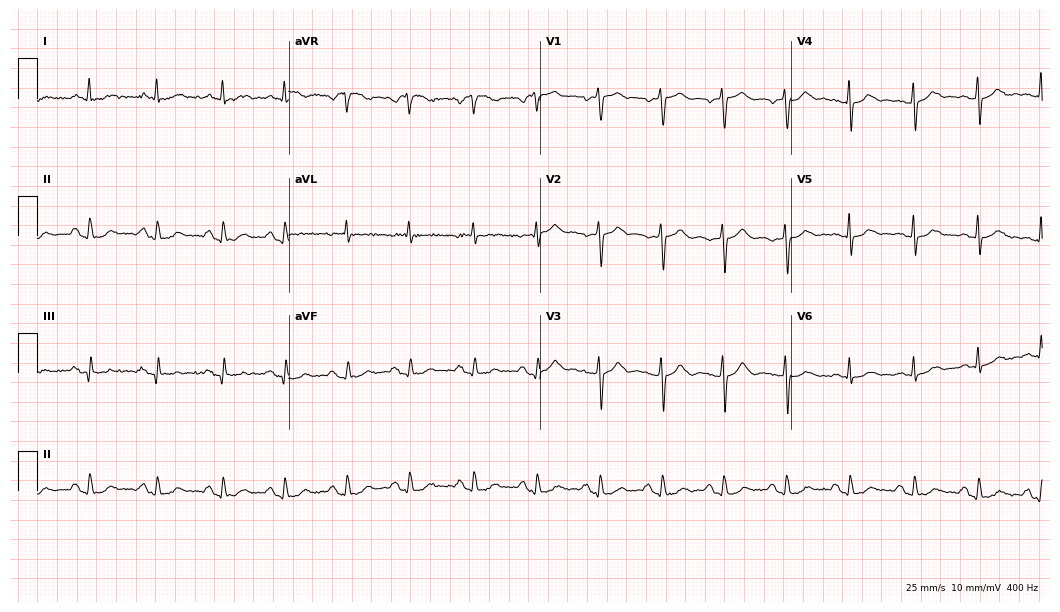
Electrocardiogram, a 66-year-old woman. Of the six screened findings (first-degree AV block, right bundle branch block, left bundle branch block, sinus bradycardia, atrial fibrillation, sinus tachycardia), none is recorded. Other findings, if any, are not listed.